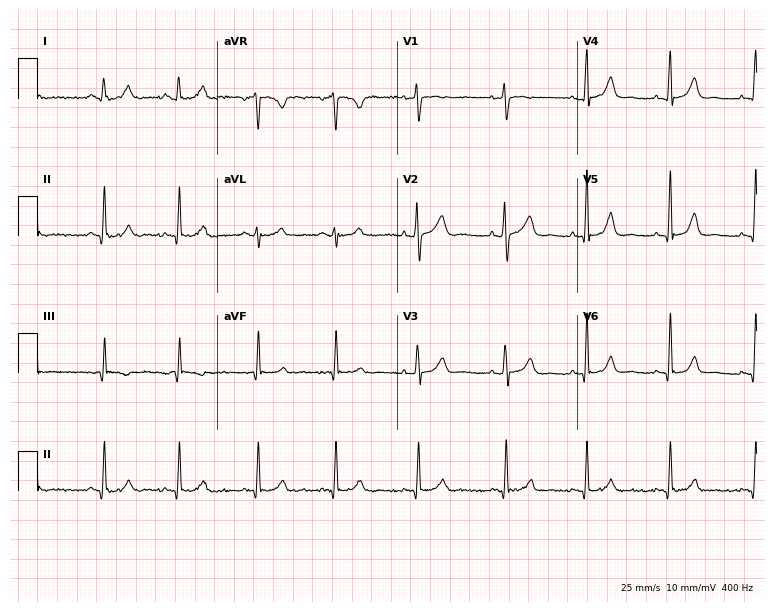
12-lead ECG from a 39-year-old female (7.3-second recording at 400 Hz). Recorded interpretation: within normal limits.